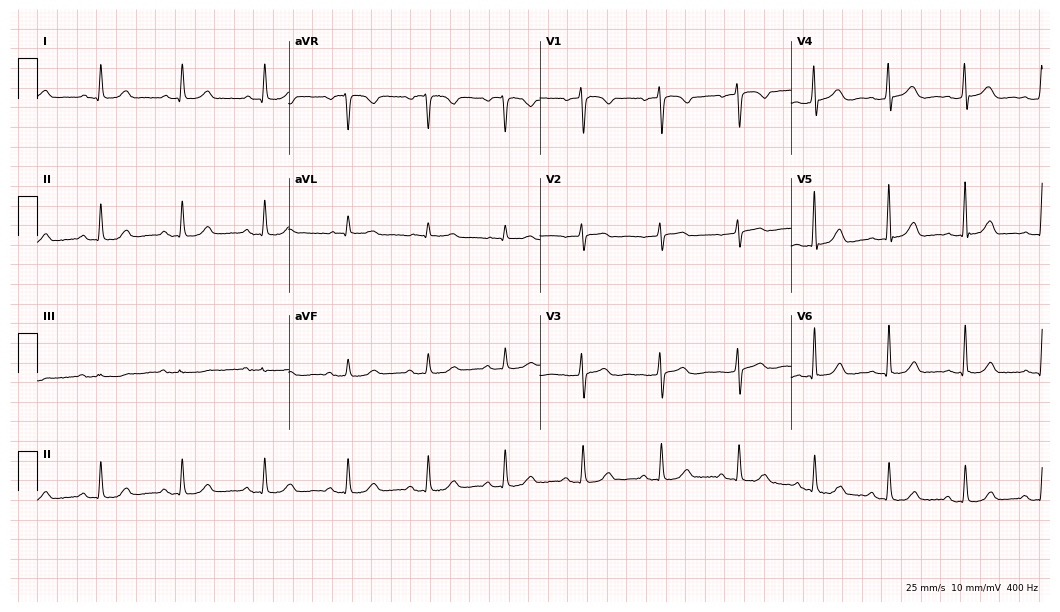
Electrocardiogram, a female patient, 61 years old. Overall reading on record: normal ECG.